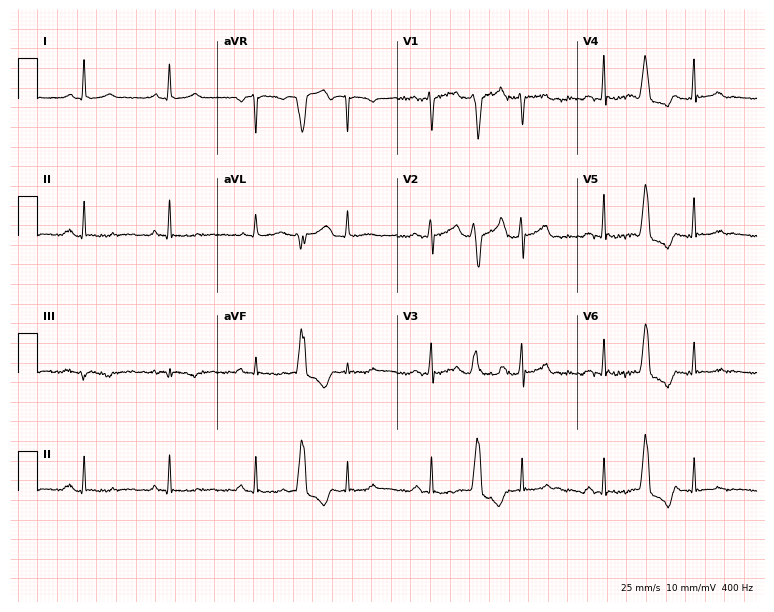
12-lead ECG (7.3-second recording at 400 Hz) from a man, 60 years old. Screened for six findings — first-degree AV block, right bundle branch block, left bundle branch block, sinus bradycardia, atrial fibrillation, sinus tachycardia — none is recorded. Only these six findings were labelled.